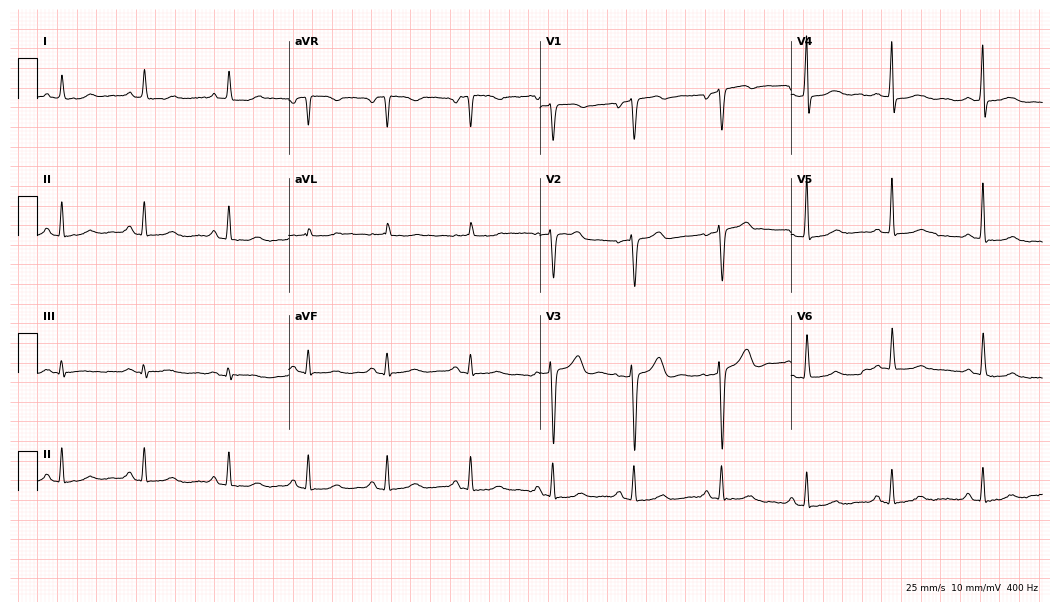
Resting 12-lead electrocardiogram. Patient: a female, 45 years old. None of these six findings is recorded: first-degree AV block, right bundle branch block, left bundle branch block, sinus bradycardia, atrial fibrillation, sinus tachycardia. Only these six findings were labelled.